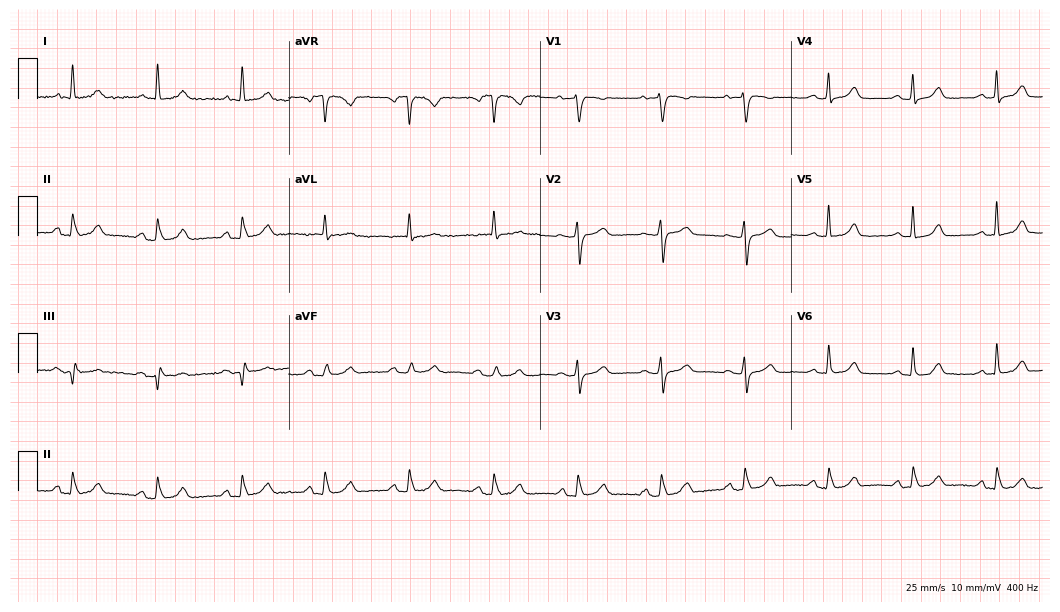
Standard 12-lead ECG recorded from a female, 78 years old. Read as a normal ECG.